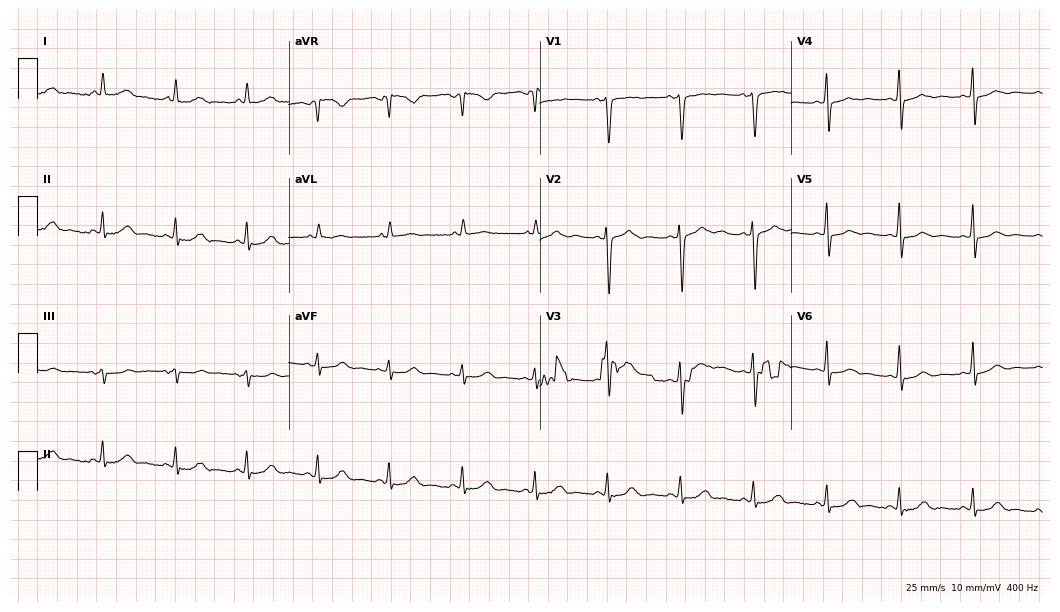
12-lead ECG from a woman, 43 years old. Screened for six findings — first-degree AV block, right bundle branch block, left bundle branch block, sinus bradycardia, atrial fibrillation, sinus tachycardia — none is recorded.